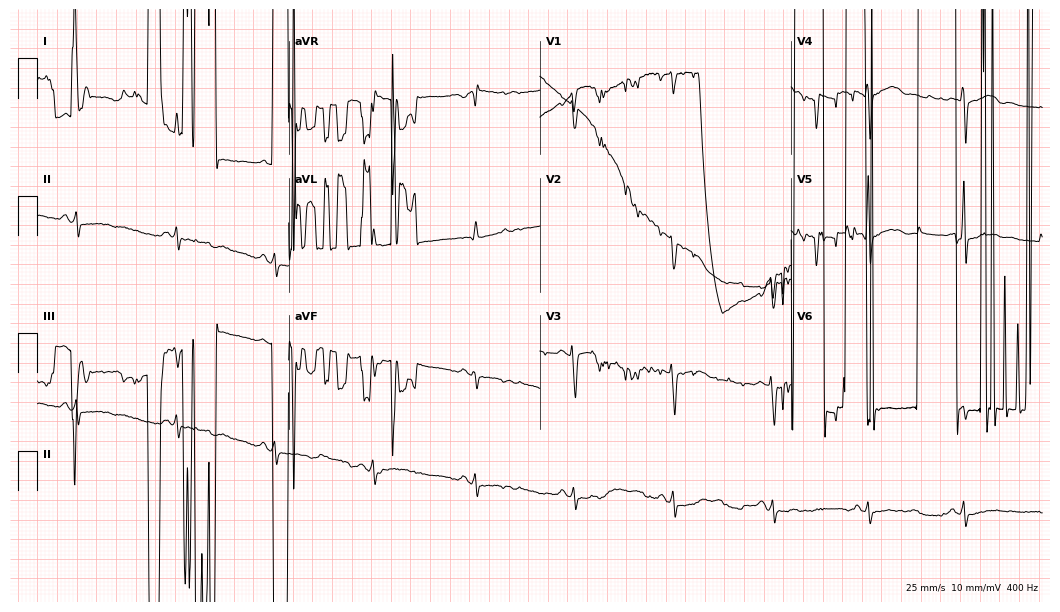
12-lead ECG from a 46-year-old male patient. No first-degree AV block, right bundle branch block, left bundle branch block, sinus bradycardia, atrial fibrillation or sinus tachycardia recorded for this tracing.